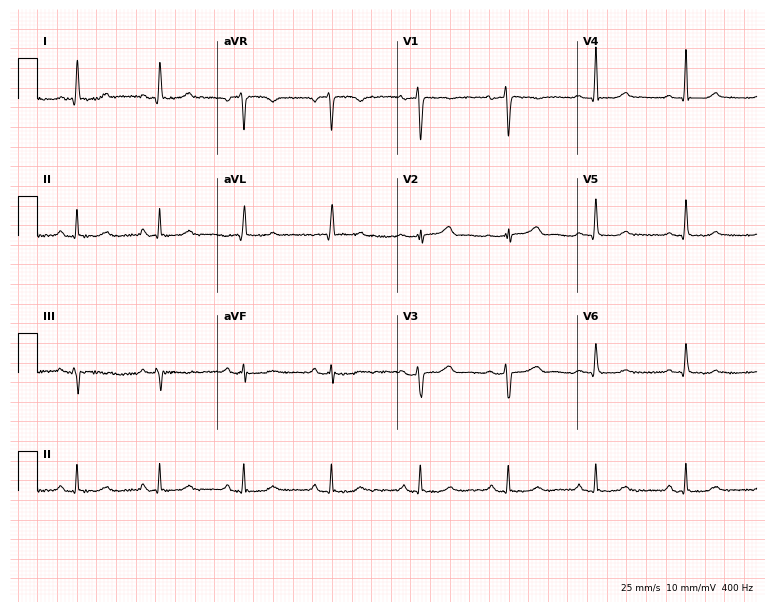
Resting 12-lead electrocardiogram (7.3-second recording at 400 Hz). Patient: a woman, 41 years old. None of these six findings is recorded: first-degree AV block, right bundle branch block, left bundle branch block, sinus bradycardia, atrial fibrillation, sinus tachycardia. Only these six findings were labelled.